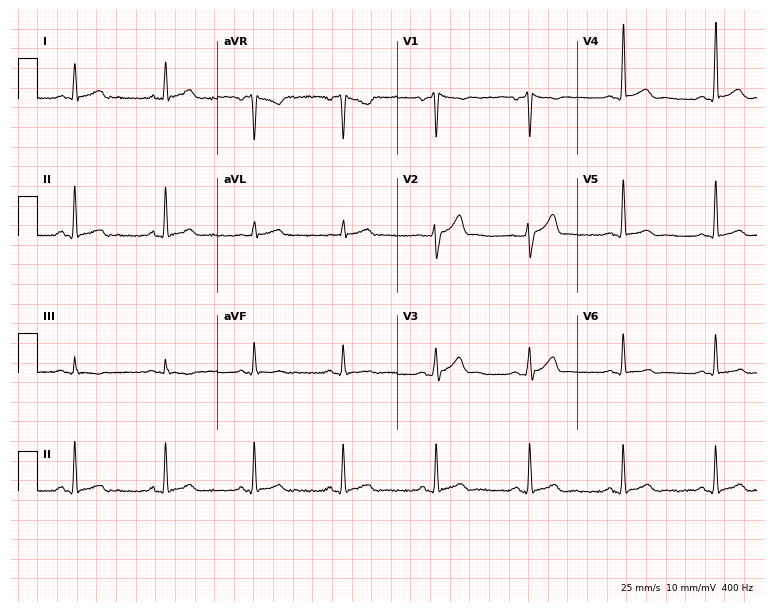
Electrocardiogram (7.3-second recording at 400 Hz), a man, 43 years old. Overall reading on record: normal ECG.